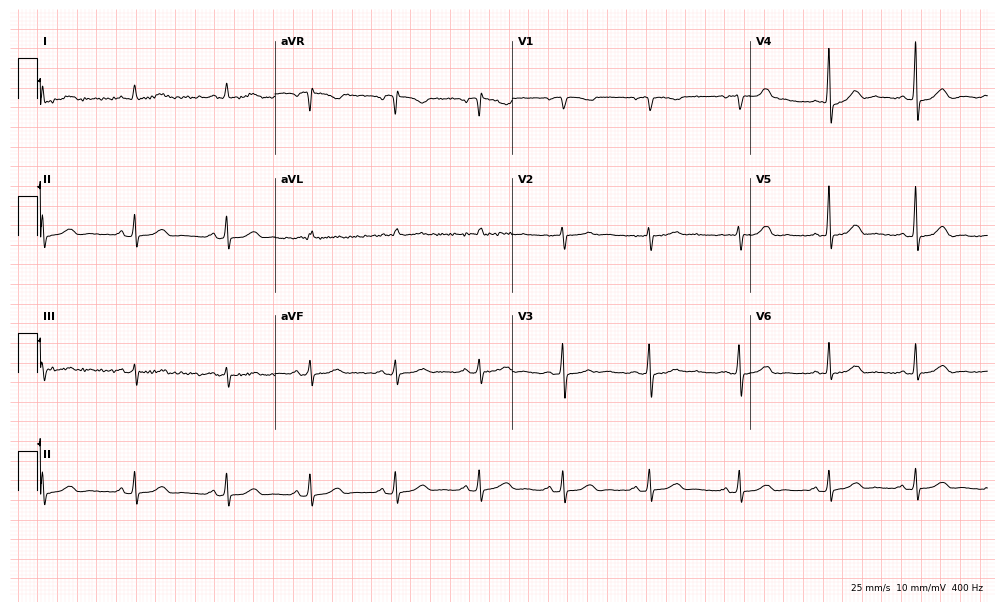
Electrocardiogram (9.7-second recording at 400 Hz), a female patient, 55 years old. Overall reading on record: normal ECG.